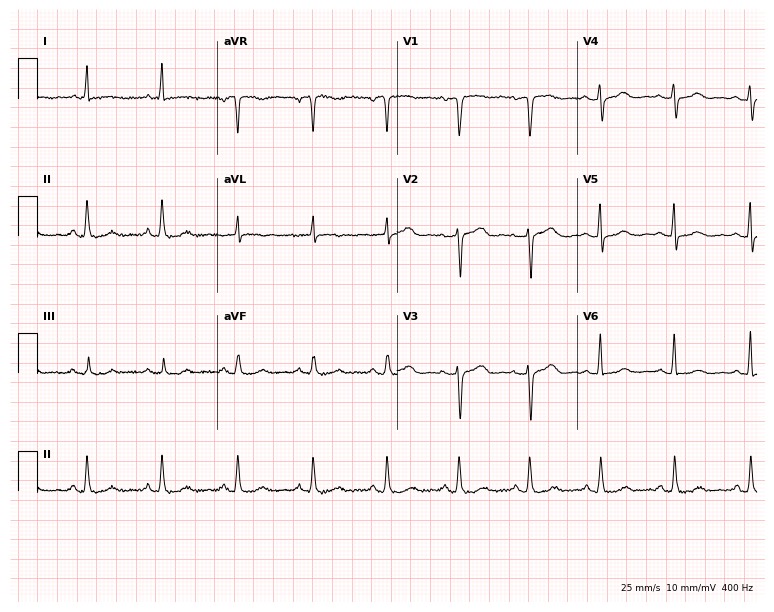
Standard 12-lead ECG recorded from a 54-year-old female (7.3-second recording at 400 Hz). Read as a normal ECG.